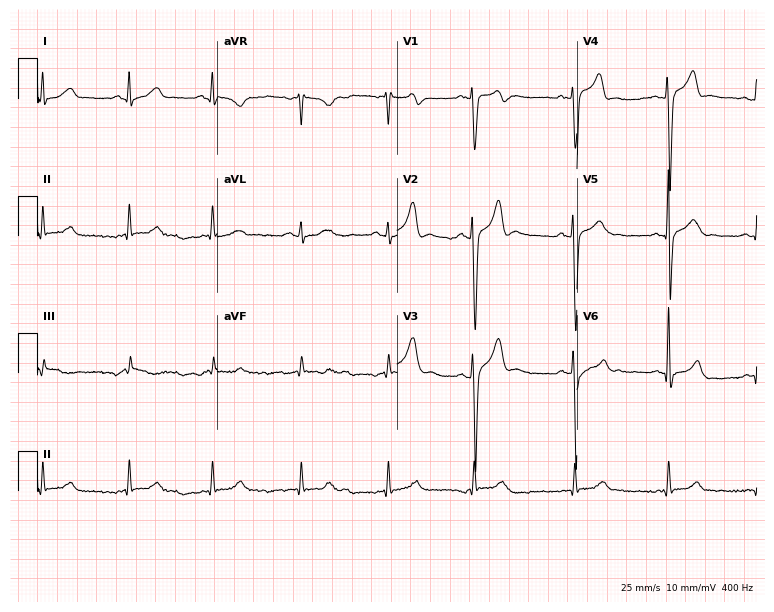
12-lead ECG from a male patient, 37 years old. Recorded interpretation: within normal limits.